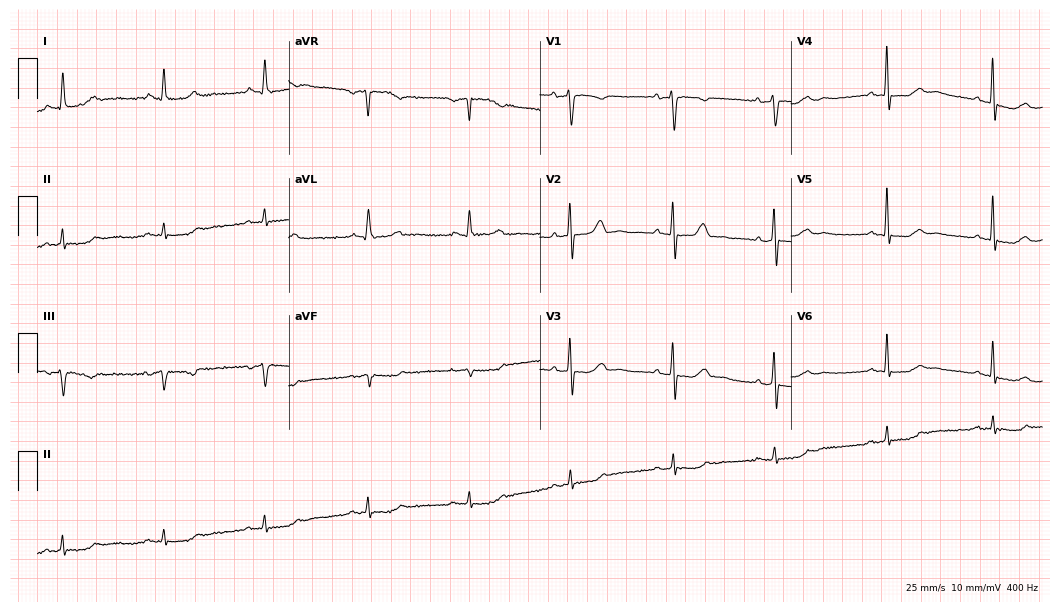
12-lead ECG from a 61-year-old female (10.2-second recording at 400 Hz). No first-degree AV block, right bundle branch block, left bundle branch block, sinus bradycardia, atrial fibrillation or sinus tachycardia recorded for this tracing.